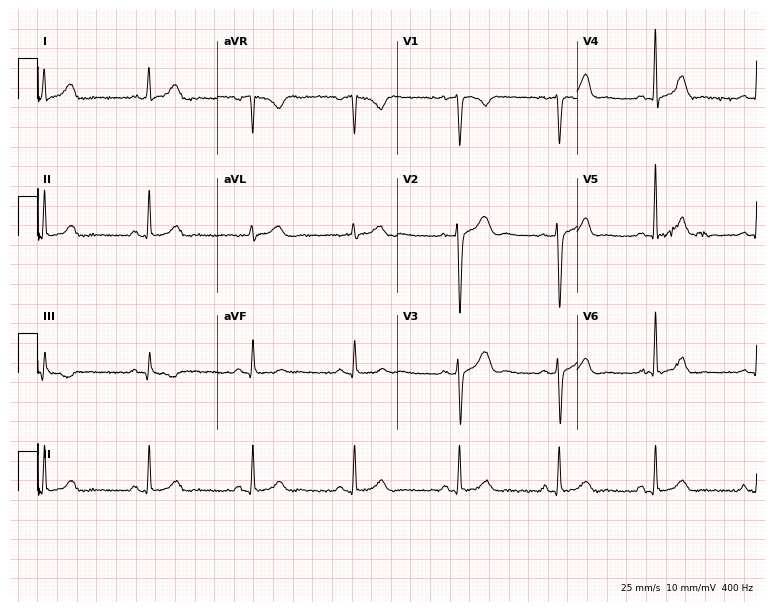
12-lead ECG from a 29-year-old woman. Recorded interpretation: within normal limits.